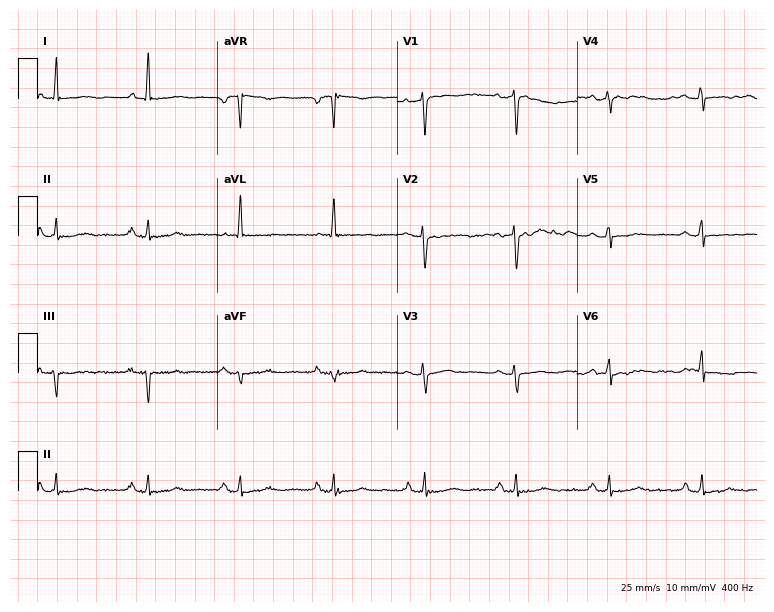
12-lead ECG from a woman, 50 years old. Screened for six findings — first-degree AV block, right bundle branch block, left bundle branch block, sinus bradycardia, atrial fibrillation, sinus tachycardia — none is recorded.